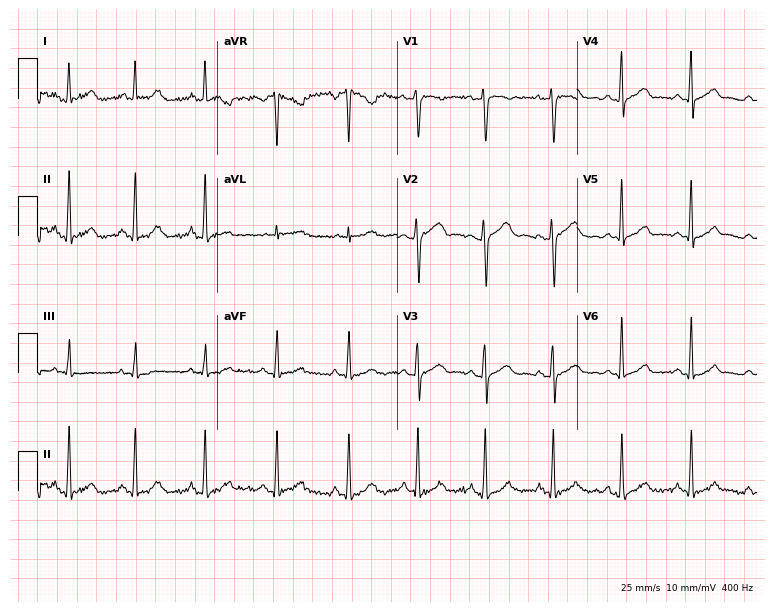
12-lead ECG from a 30-year-old female patient. Labelled as a normal ECG.